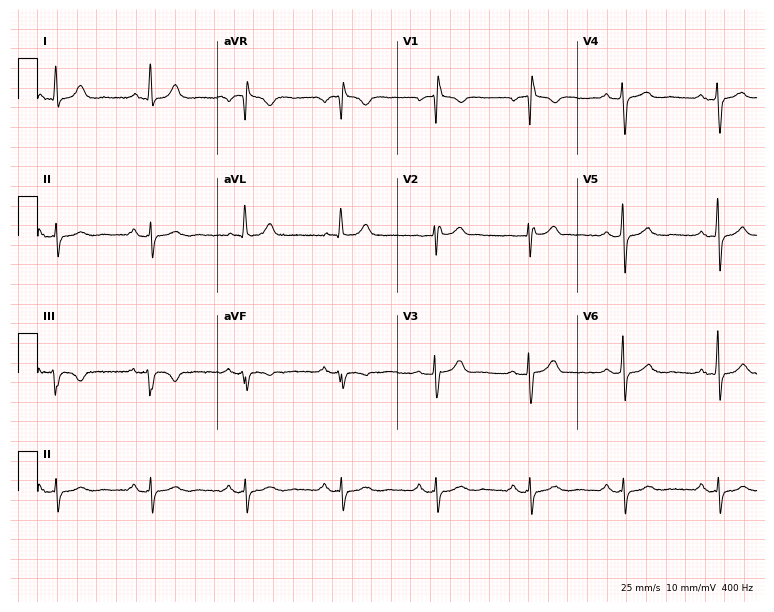
Standard 12-lead ECG recorded from a 72-year-old man (7.3-second recording at 400 Hz). None of these six findings is recorded: first-degree AV block, right bundle branch block (RBBB), left bundle branch block (LBBB), sinus bradycardia, atrial fibrillation (AF), sinus tachycardia.